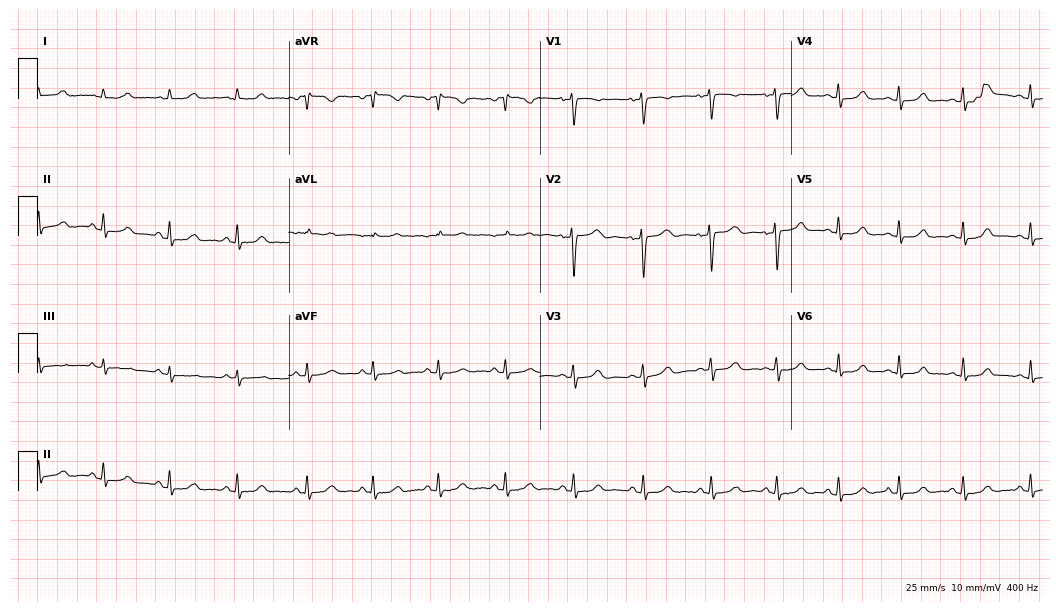
12-lead ECG from a woman, 24 years old. Recorded interpretation: within normal limits.